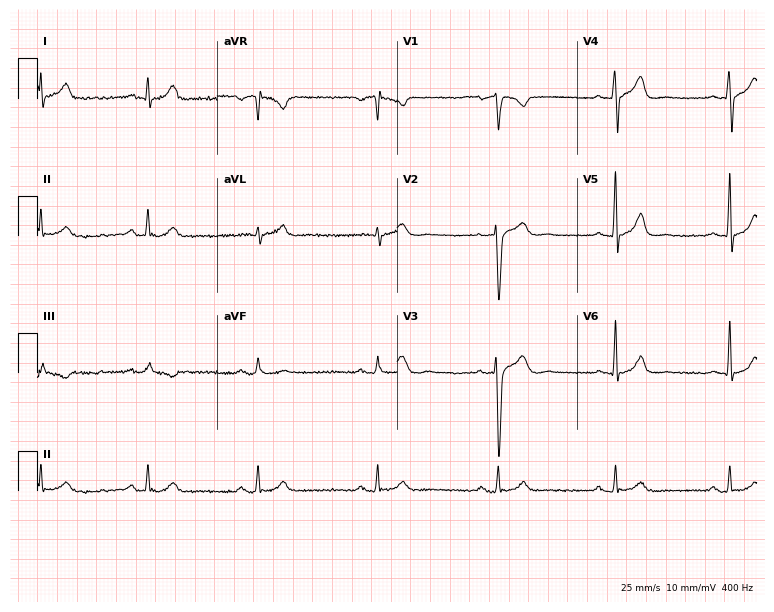
Electrocardiogram, a 50-year-old male. Of the six screened findings (first-degree AV block, right bundle branch block, left bundle branch block, sinus bradycardia, atrial fibrillation, sinus tachycardia), none is recorded.